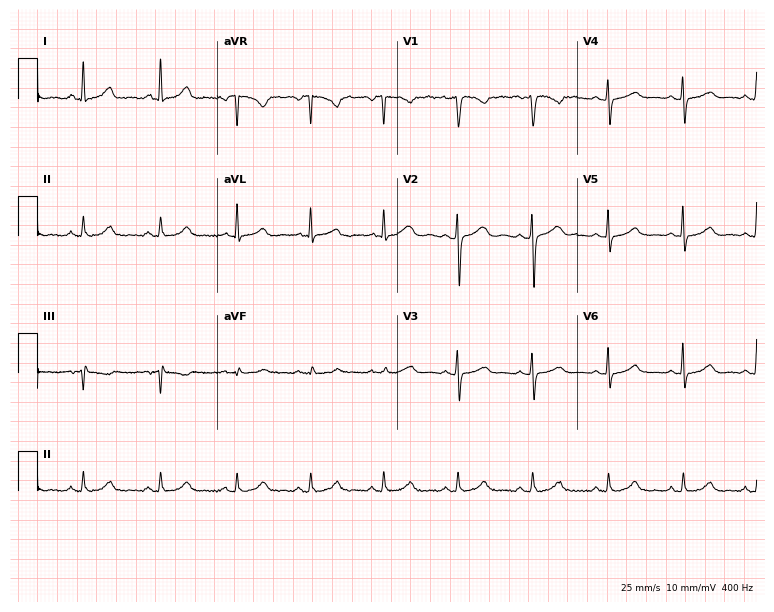
Electrocardiogram, a 43-year-old female patient. Overall reading on record: normal ECG.